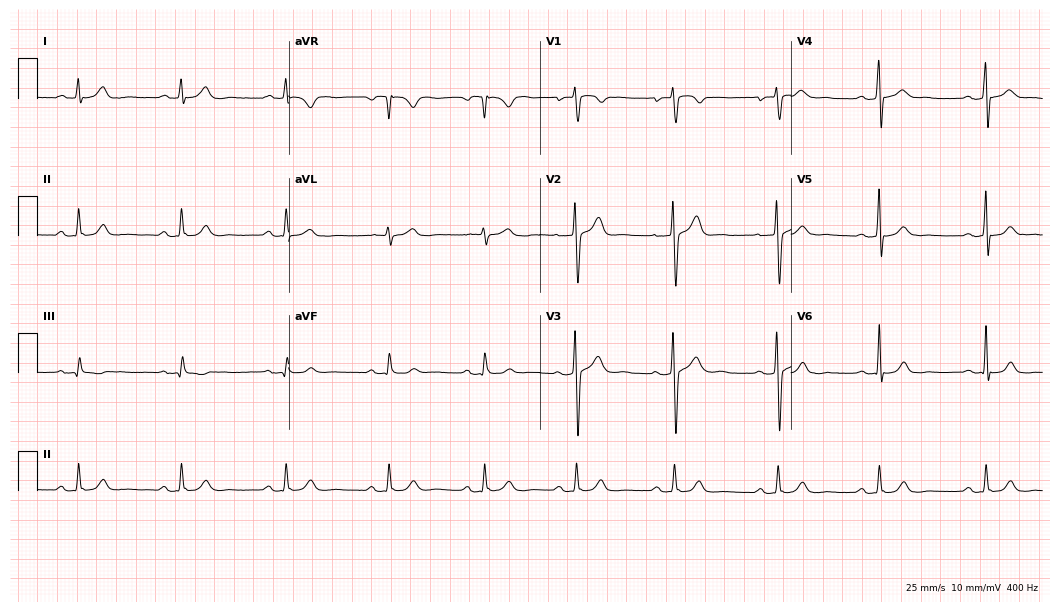
Resting 12-lead electrocardiogram. Patient: a 35-year-old man. Read as a normal ECG.